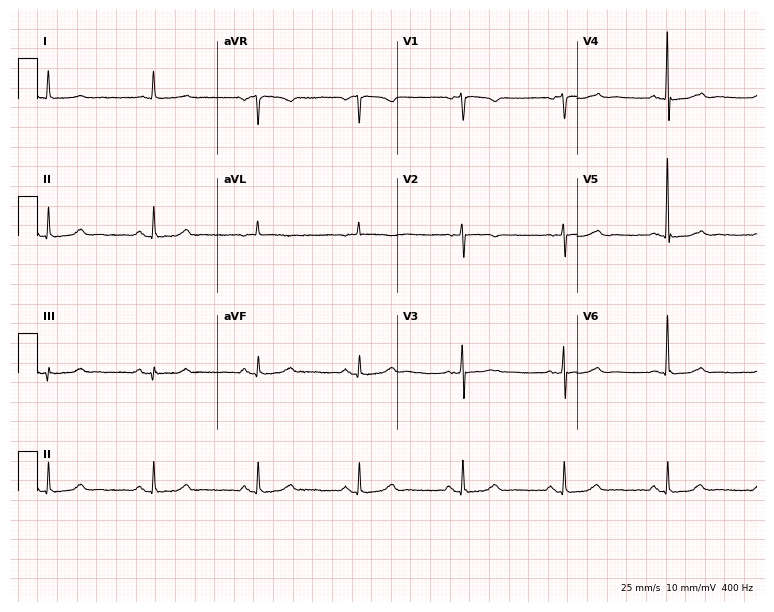
Standard 12-lead ECG recorded from a female, 81 years old. None of these six findings is recorded: first-degree AV block, right bundle branch block, left bundle branch block, sinus bradycardia, atrial fibrillation, sinus tachycardia.